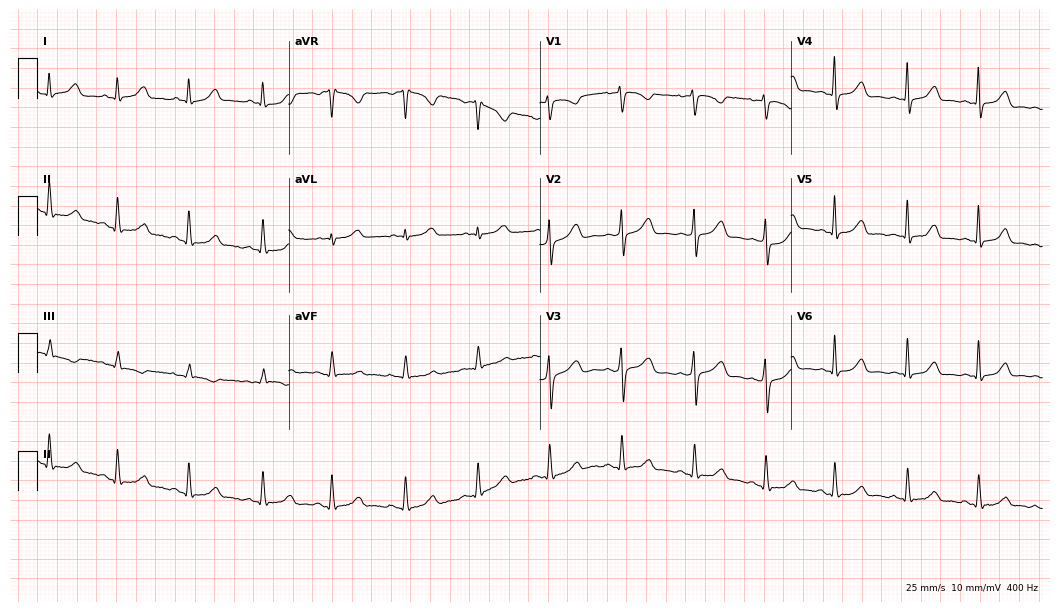
12-lead ECG (10.2-second recording at 400 Hz) from a female patient, 40 years old. Screened for six findings — first-degree AV block, right bundle branch block, left bundle branch block, sinus bradycardia, atrial fibrillation, sinus tachycardia — none is recorded.